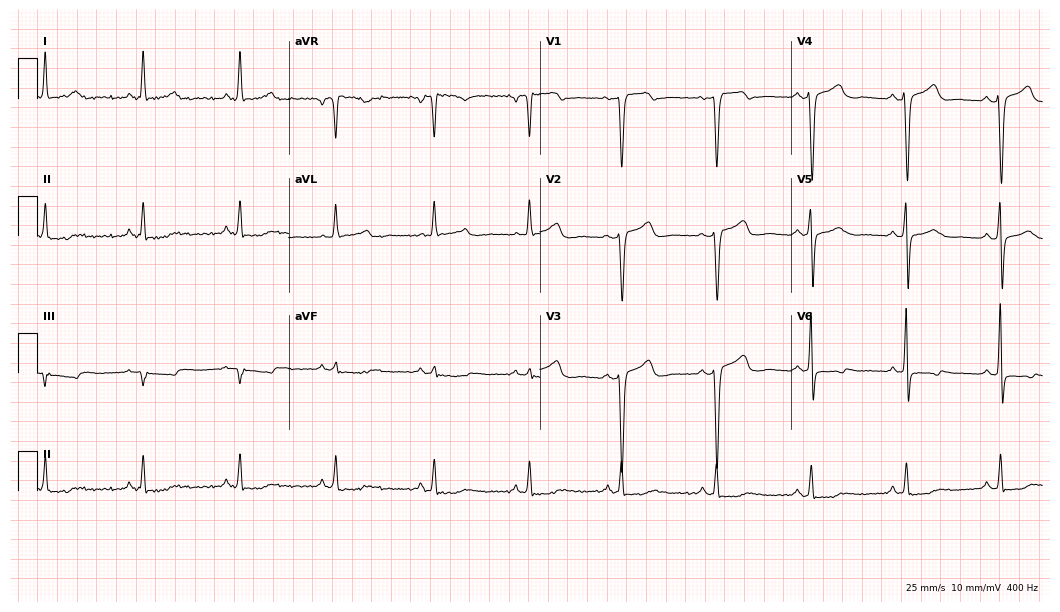
12-lead ECG from a female patient, 52 years old. Screened for six findings — first-degree AV block, right bundle branch block, left bundle branch block, sinus bradycardia, atrial fibrillation, sinus tachycardia — none is recorded. Other findings, if any, are not listed.